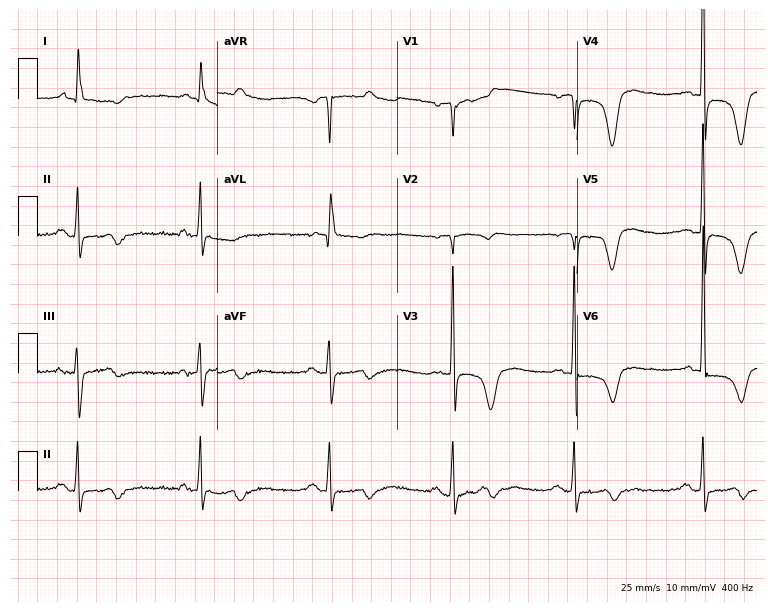
12-lead ECG (7.3-second recording at 400 Hz) from a female, 69 years old. Findings include sinus bradycardia (a sinus rate of 50 beats per minute or less).